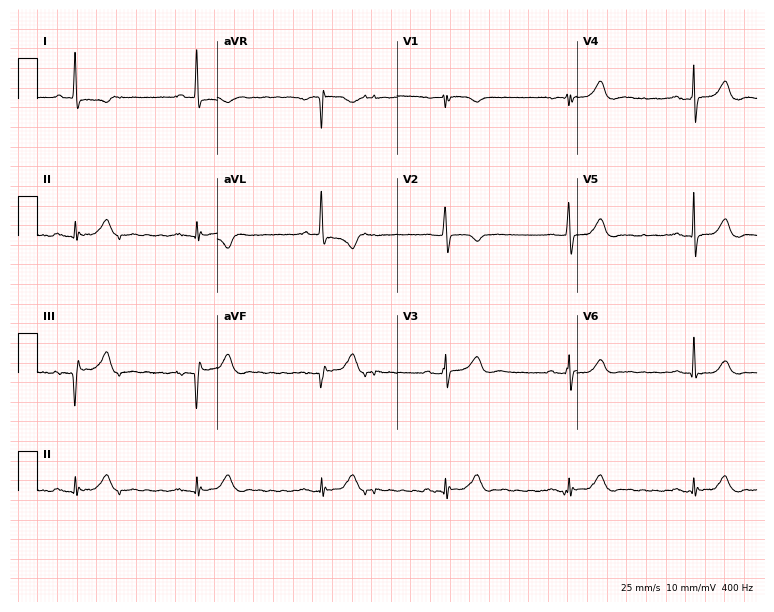
ECG — an 81-year-old woman. Screened for six findings — first-degree AV block, right bundle branch block (RBBB), left bundle branch block (LBBB), sinus bradycardia, atrial fibrillation (AF), sinus tachycardia — none is recorded. Other findings, if any, are not listed.